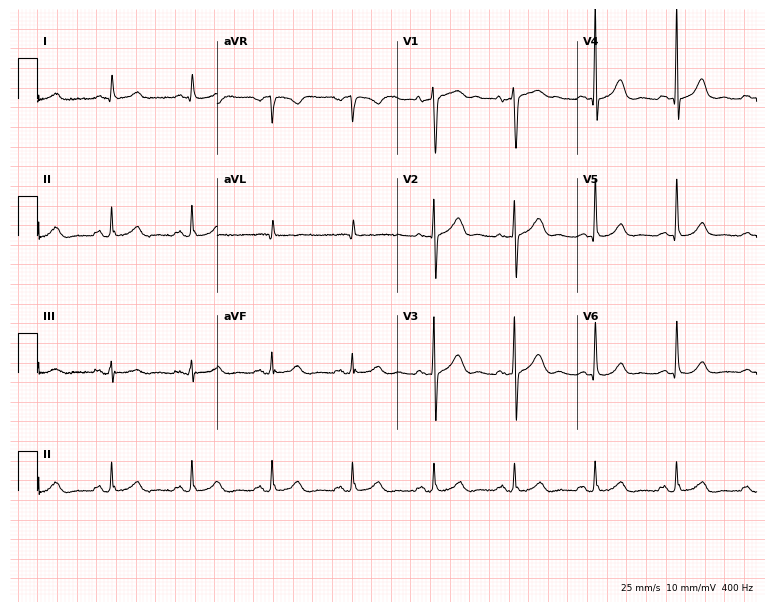
12-lead ECG (7.3-second recording at 400 Hz) from a male patient, 61 years old. Labelled as a normal ECG.